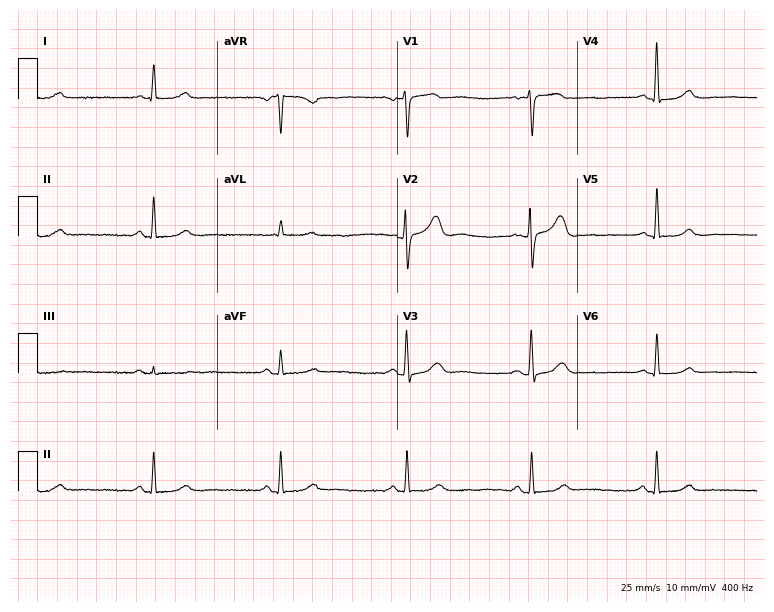
ECG — a 72-year-old woman. Findings include sinus bradycardia (a sinus rate of 50 beats per minute or less).